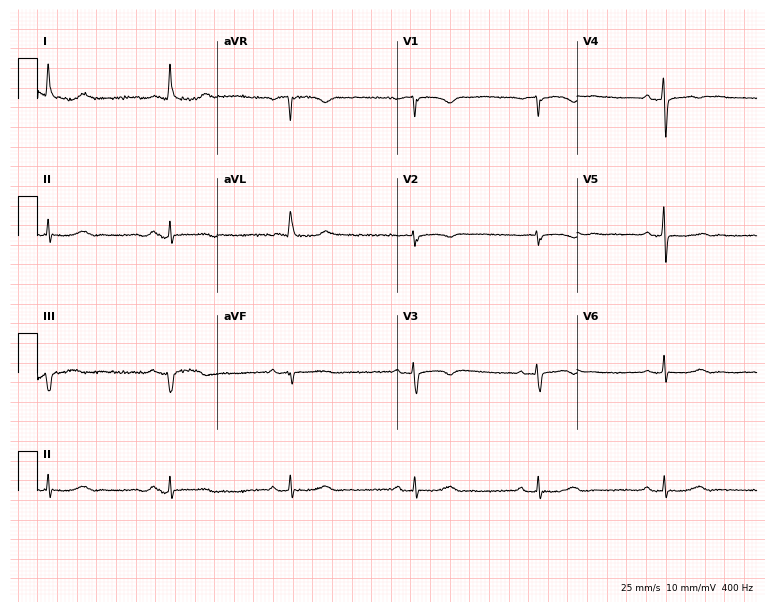
Standard 12-lead ECG recorded from a female, 77 years old (7.3-second recording at 400 Hz). The tracing shows sinus bradycardia (a sinus rate of 50 beats per minute or less).